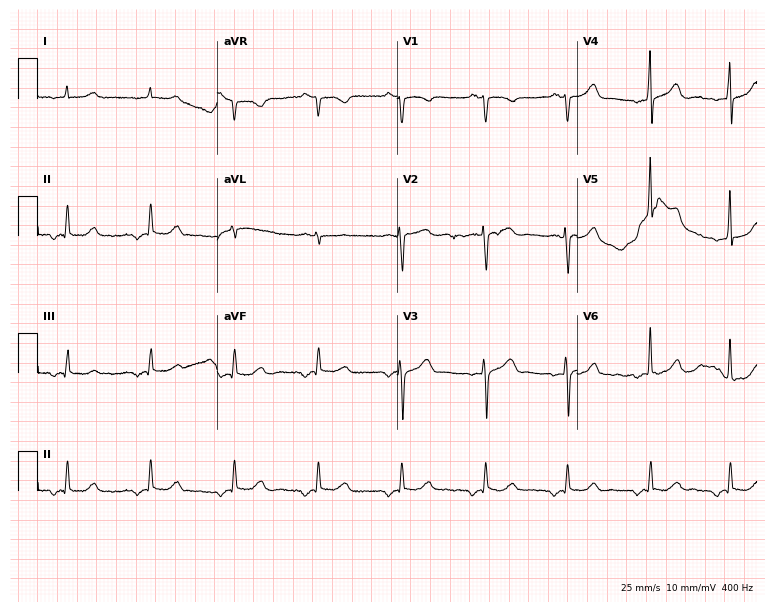
Standard 12-lead ECG recorded from a woman, 72 years old (7.3-second recording at 400 Hz). None of these six findings is recorded: first-degree AV block, right bundle branch block, left bundle branch block, sinus bradycardia, atrial fibrillation, sinus tachycardia.